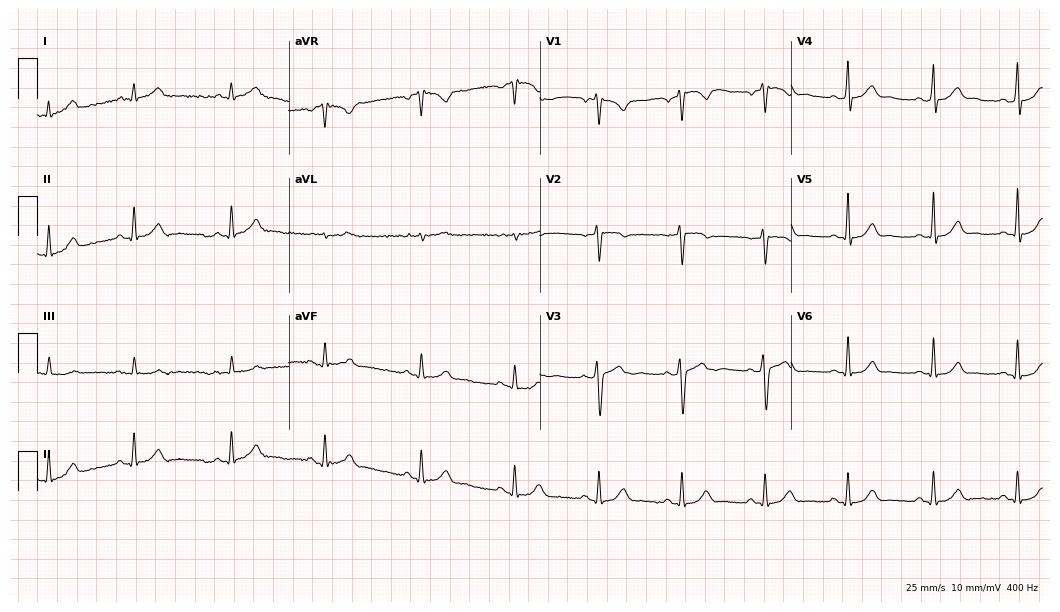
12-lead ECG (10.2-second recording at 400 Hz) from a man, 22 years old. Labelled as a normal ECG.